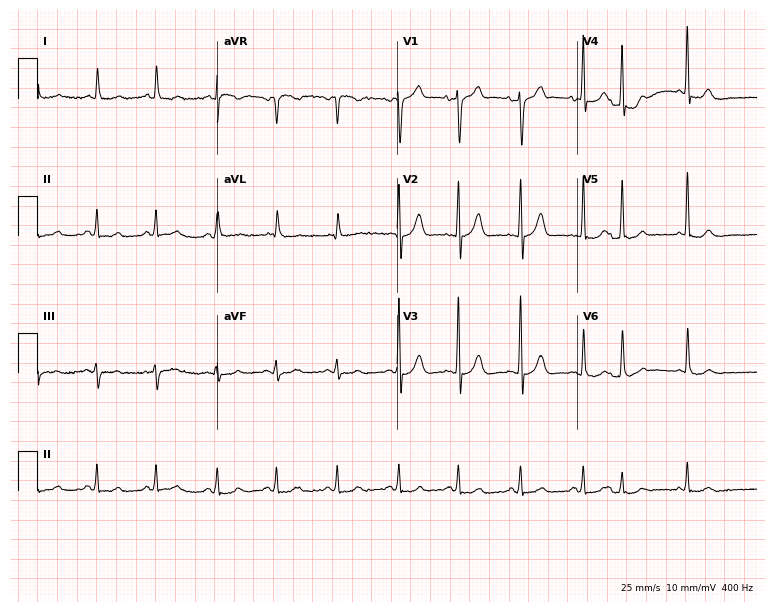
Electrocardiogram (7.3-second recording at 400 Hz), a 78-year-old male. Of the six screened findings (first-degree AV block, right bundle branch block (RBBB), left bundle branch block (LBBB), sinus bradycardia, atrial fibrillation (AF), sinus tachycardia), none is recorded. Other findings, if any, are not listed.